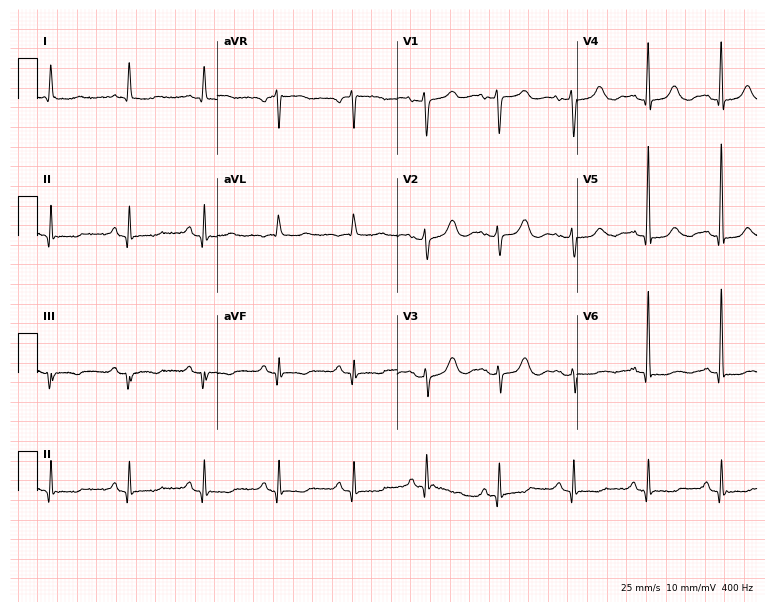
Electrocardiogram (7.3-second recording at 400 Hz), an 84-year-old female patient. Of the six screened findings (first-degree AV block, right bundle branch block (RBBB), left bundle branch block (LBBB), sinus bradycardia, atrial fibrillation (AF), sinus tachycardia), none is recorded. Other findings, if any, are not listed.